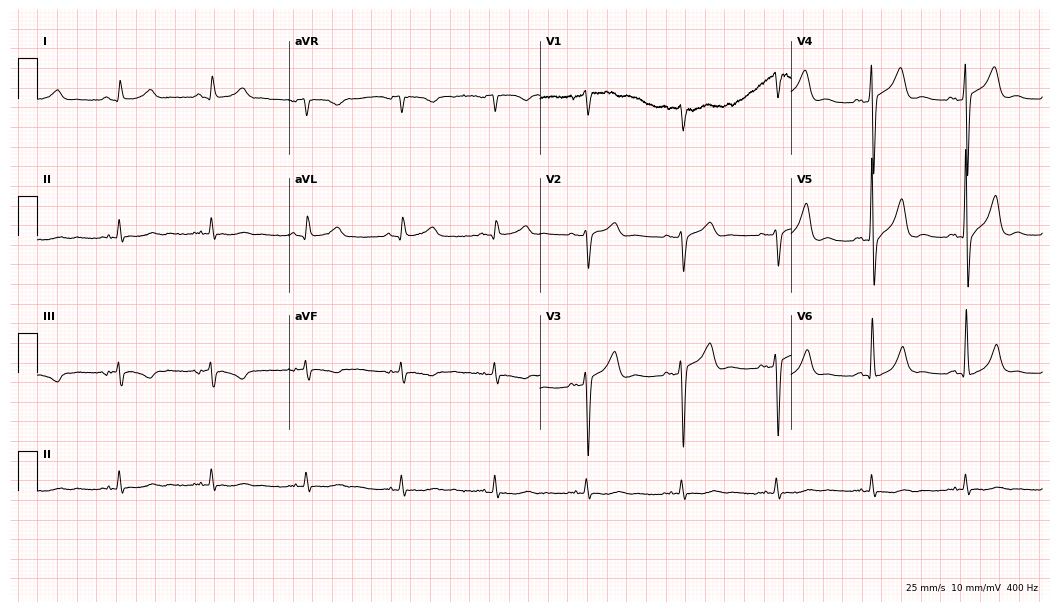
12-lead ECG from a 70-year-old male (10.2-second recording at 400 Hz). No first-degree AV block, right bundle branch block, left bundle branch block, sinus bradycardia, atrial fibrillation or sinus tachycardia recorded for this tracing. Other findings, if any, are not listed.